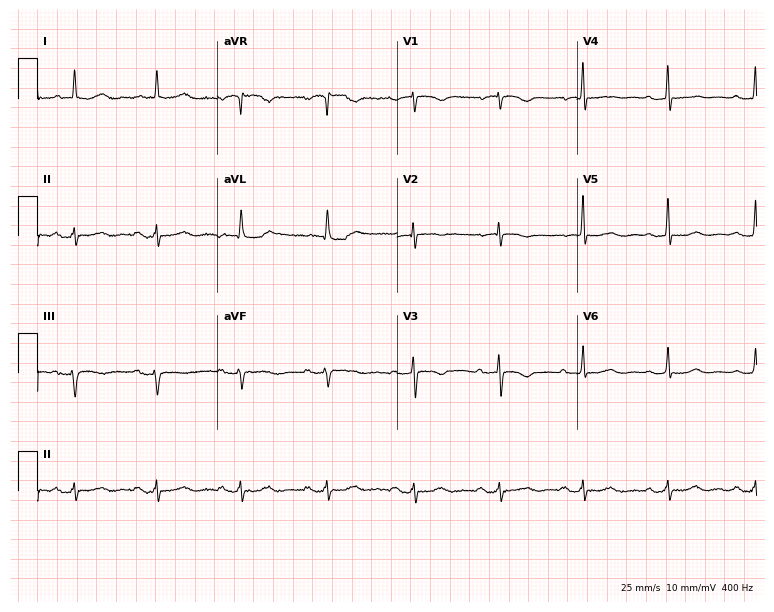
12-lead ECG from a 76-year-old female patient. No first-degree AV block, right bundle branch block, left bundle branch block, sinus bradycardia, atrial fibrillation or sinus tachycardia recorded for this tracing. Findings outside these six are not listed.